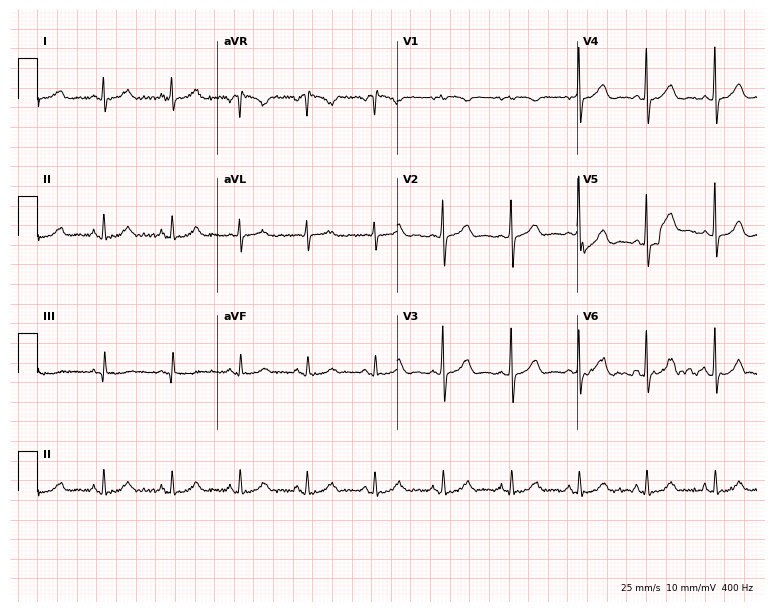
ECG — a woman, 65 years old. Labelled as a normal ECG.